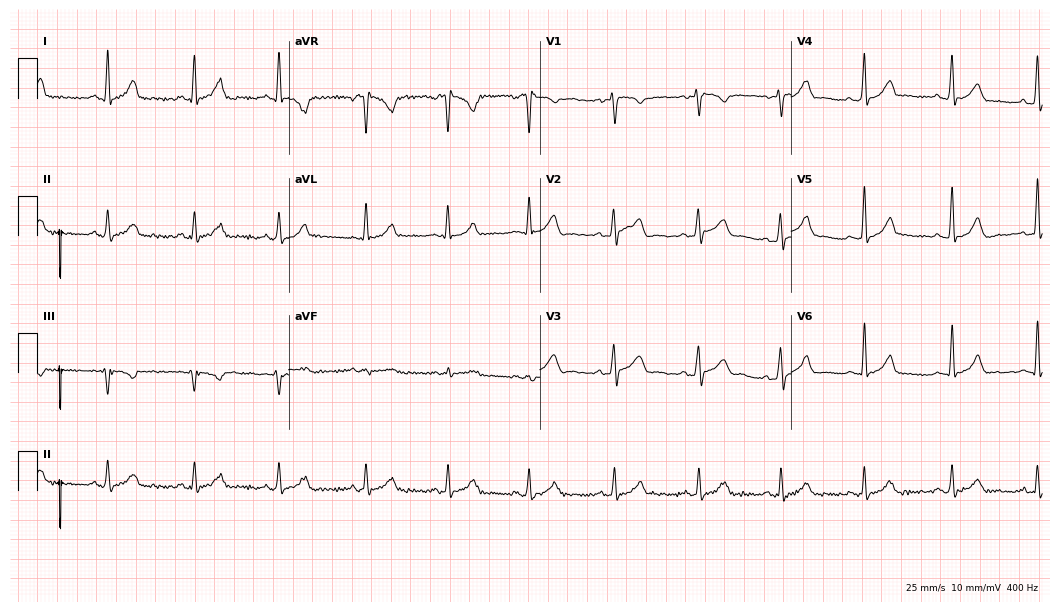
Resting 12-lead electrocardiogram. Patient: a 31-year-old man. Read as a normal ECG.